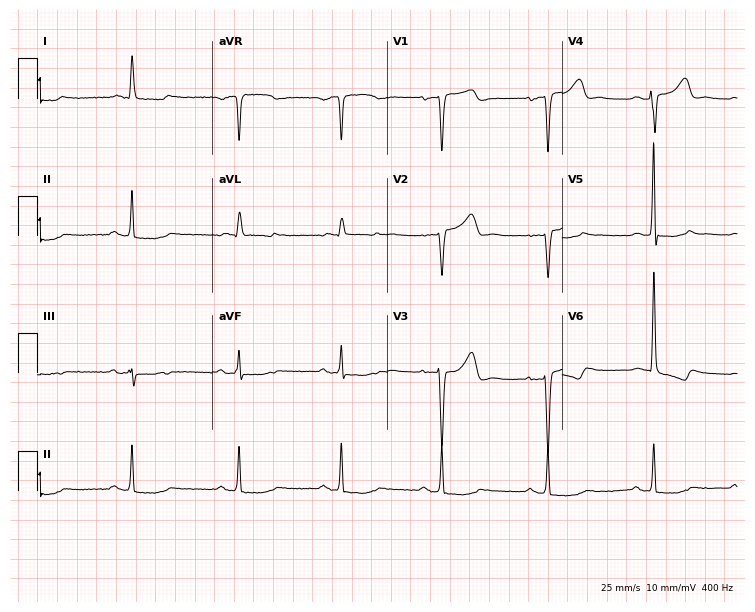
12-lead ECG from a female patient, 63 years old (7.1-second recording at 400 Hz). No first-degree AV block, right bundle branch block (RBBB), left bundle branch block (LBBB), sinus bradycardia, atrial fibrillation (AF) or sinus tachycardia recorded for this tracing.